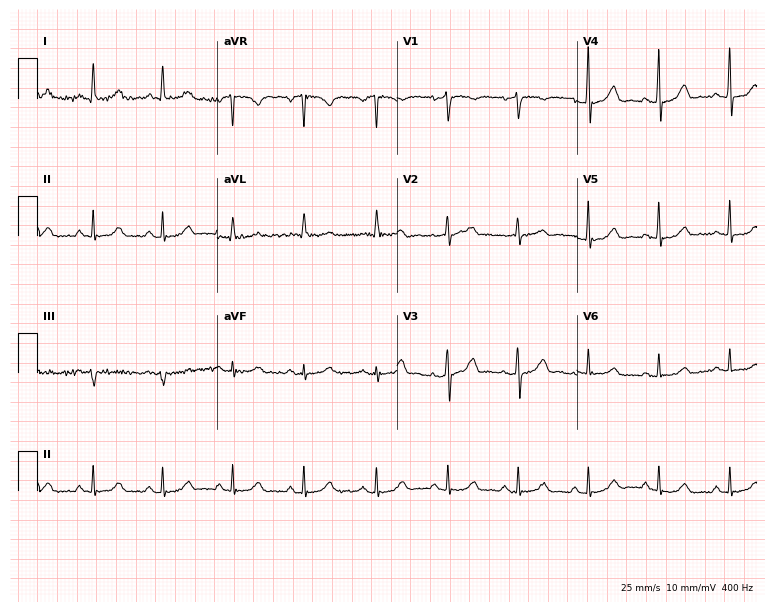
Standard 12-lead ECG recorded from a female patient, 53 years old (7.3-second recording at 400 Hz). Read as a normal ECG.